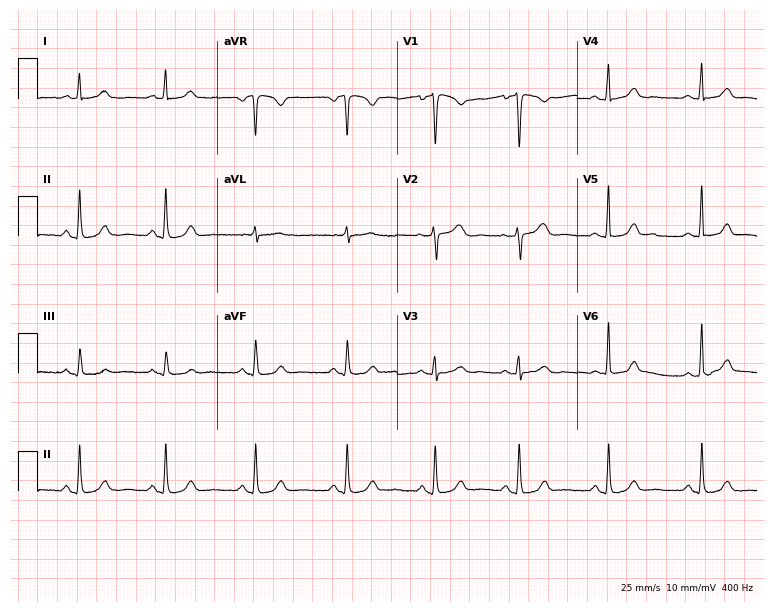
Standard 12-lead ECG recorded from a woman, 40 years old. Read as a normal ECG.